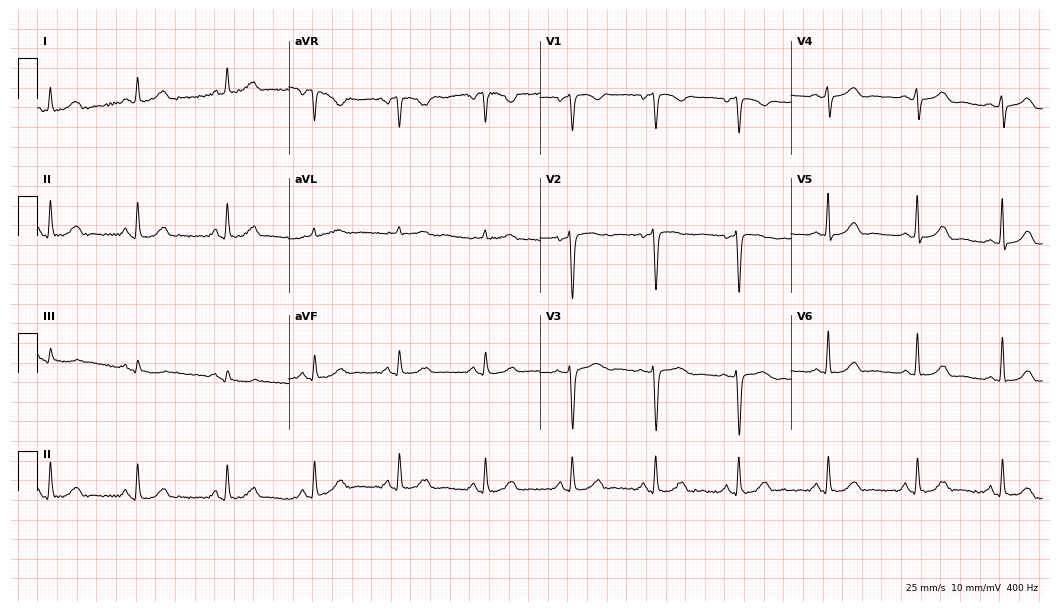
Electrocardiogram, a 70-year-old female. Overall reading on record: normal ECG.